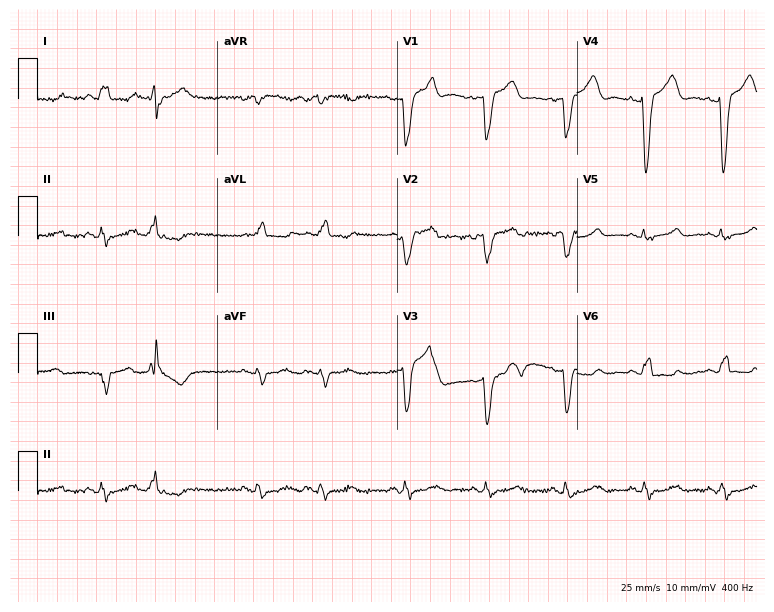
12-lead ECG from a female, 57 years old. Findings include left bundle branch block.